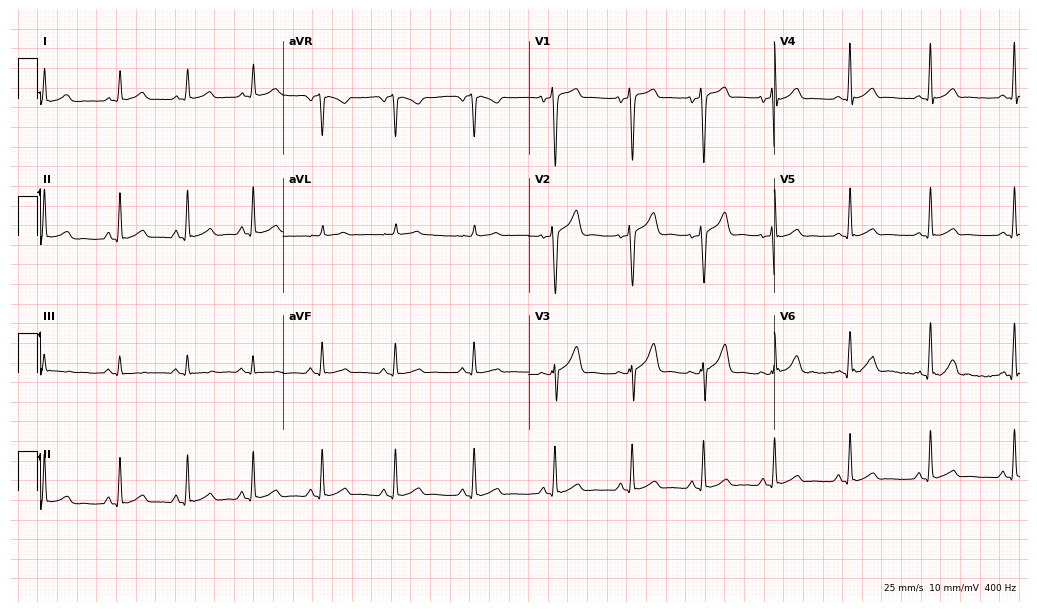
ECG (10-second recording at 400 Hz) — a 27-year-old male patient. Labelled as a normal ECG.